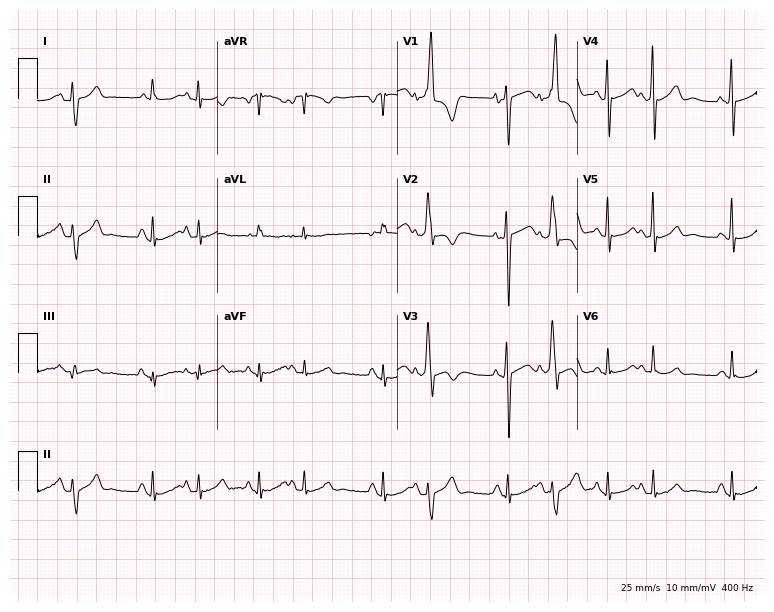
Resting 12-lead electrocardiogram. Patient: a 70-year-old woman. None of these six findings is recorded: first-degree AV block, right bundle branch block, left bundle branch block, sinus bradycardia, atrial fibrillation, sinus tachycardia.